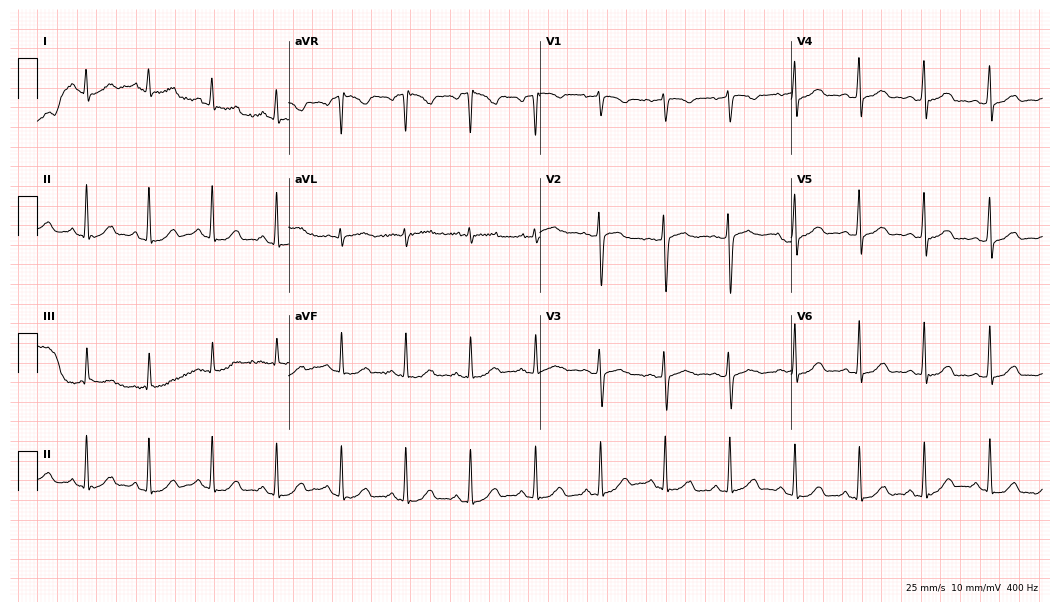
12-lead ECG from a 44-year-old woman. Recorded interpretation: within normal limits.